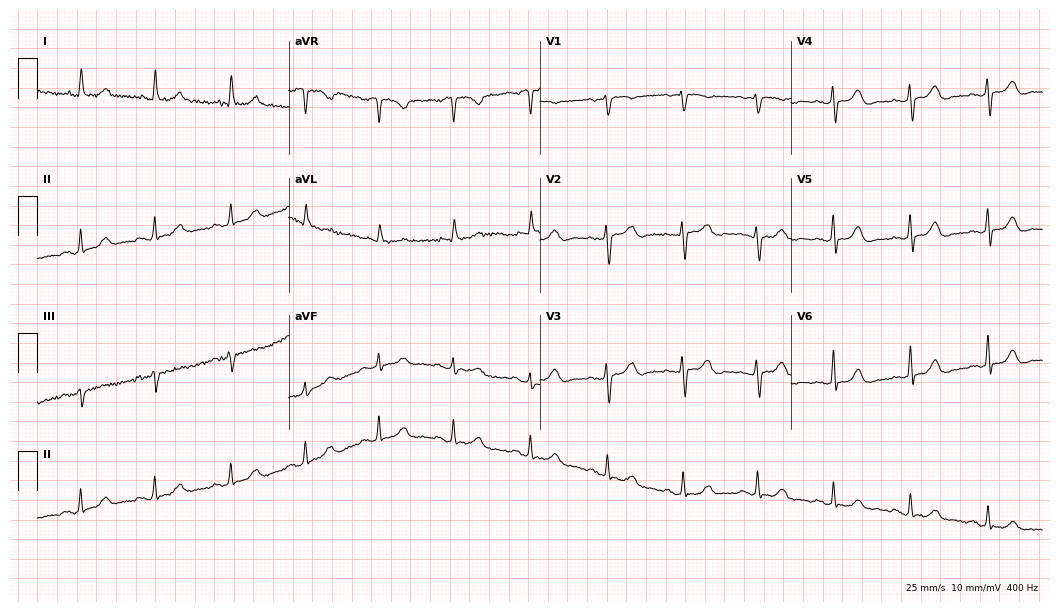
12-lead ECG from a woman, 75 years old. Screened for six findings — first-degree AV block, right bundle branch block, left bundle branch block, sinus bradycardia, atrial fibrillation, sinus tachycardia — none is recorded.